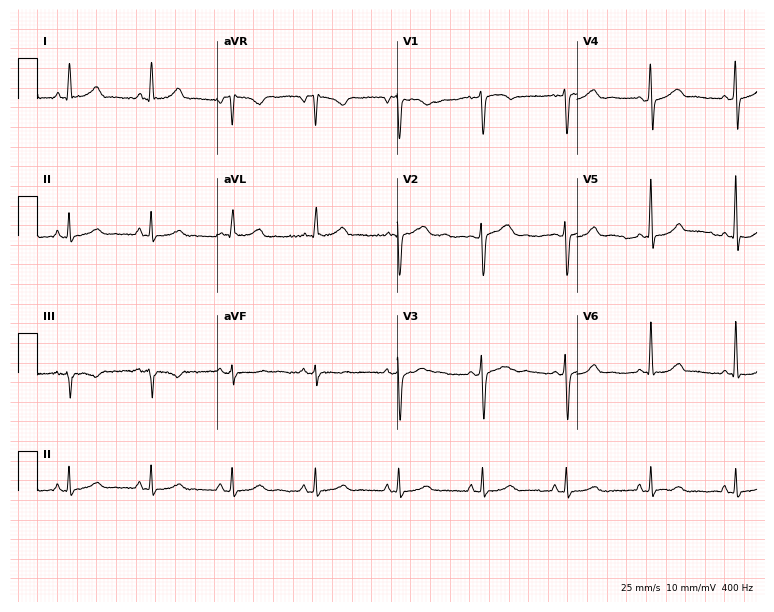
Electrocardiogram (7.3-second recording at 400 Hz), a female patient, 57 years old. Overall reading on record: normal ECG.